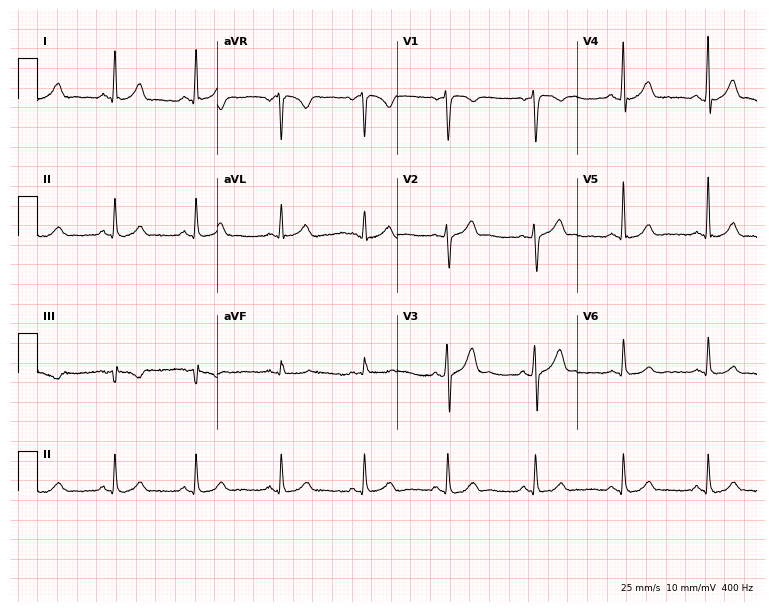
ECG (7.3-second recording at 400 Hz) — a man, 30 years old. Labelled as a normal ECG.